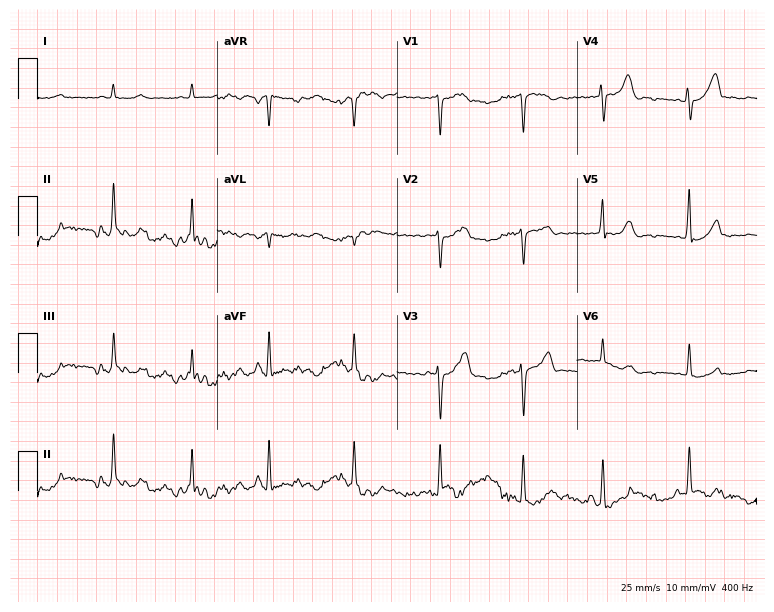
Electrocardiogram, a man, 61 years old. Of the six screened findings (first-degree AV block, right bundle branch block (RBBB), left bundle branch block (LBBB), sinus bradycardia, atrial fibrillation (AF), sinus tachycardia), none is recorded.